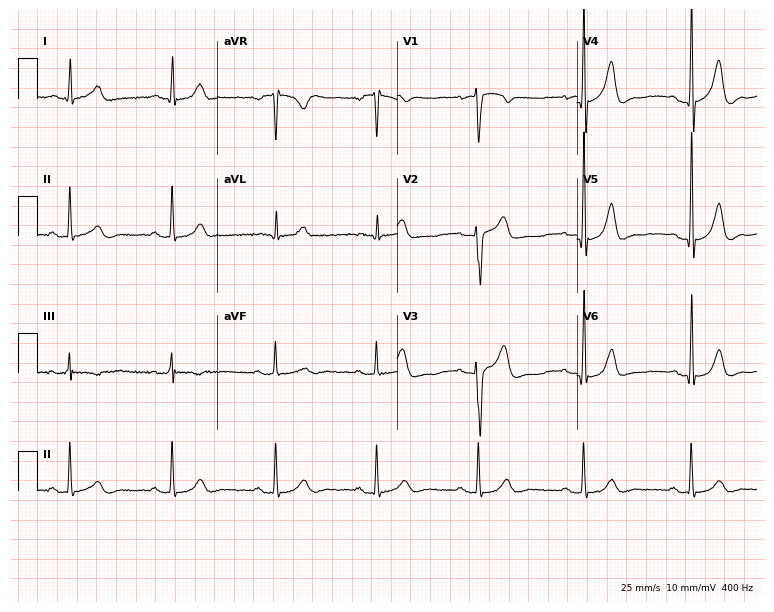
12-lead ECG from a 49-year-old male patient. Labelled as a normal ECG.